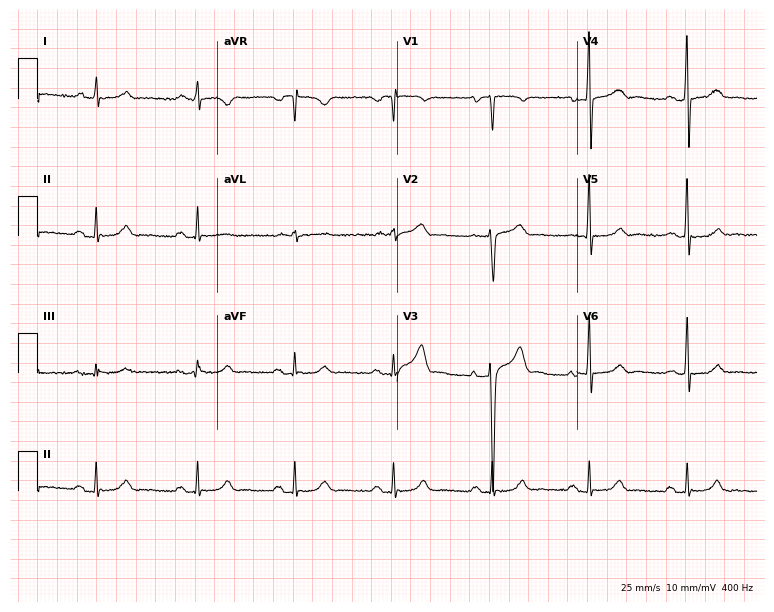
12-lead ECG from a 44-year-old male patient. Screened for six findings — first-degree AV block, right bundle branch block, left bundle branch block, sinus bradycardia, atrial fibrillation, sinus tachycardia — none is recorded.